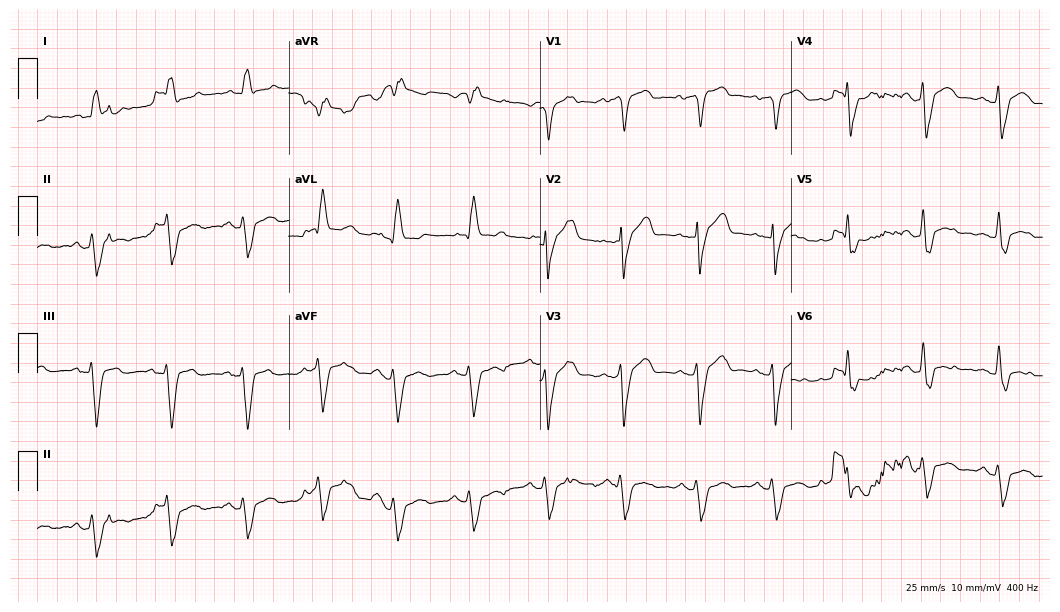
12-lead ECG from a 78-year-old male patient (10.2-second recording at 400 Hz). No first-degree AV block, right bundle branch block (RBBB), left bundle branch block (LBBB), sinus bradycardia, atrial fibrillation (AF) or sinus tachycardia recorded for this tracing.